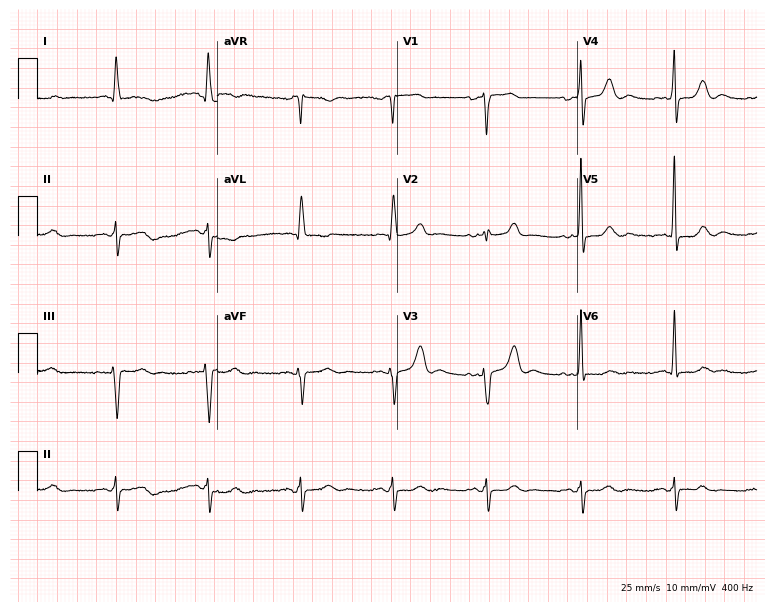
12-lead ECG from a woman, 83 years old. No first-degree AV block, right bundle branch block, left bundle branch block, sinus bradycardia, atrial fibrillation or sinus tachycardia recorded for this tracing. Other findings, if any, are not listed.